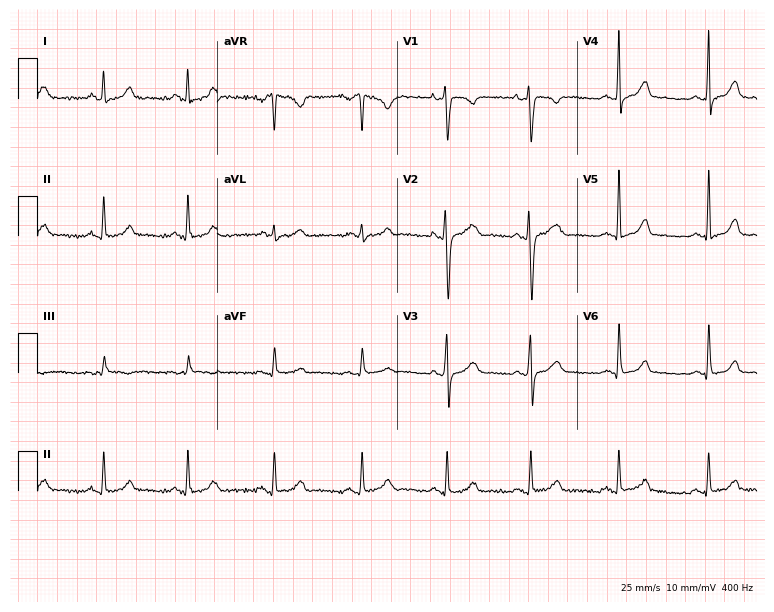
Electrocardiogram, a female patient, 24 years old. Overall reading on record: normal ECG.